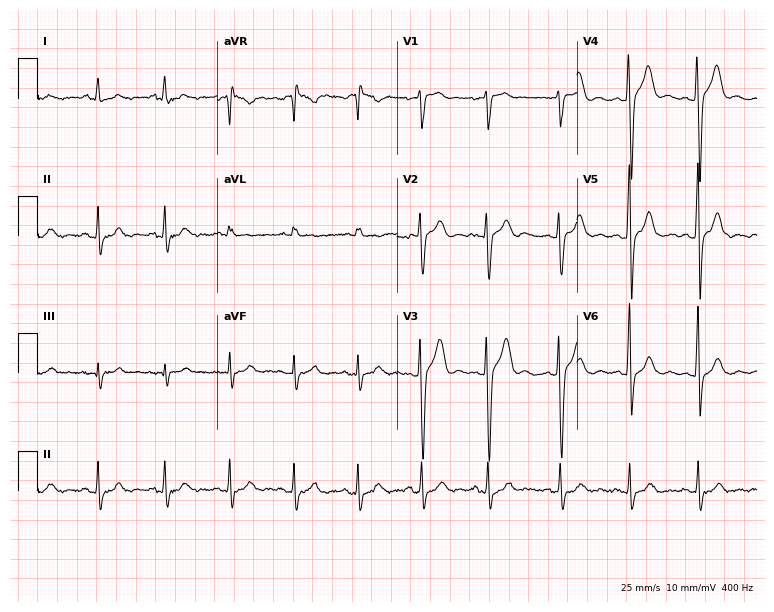
ECG — a man, 21 years old. Labelled as a normal ECG.